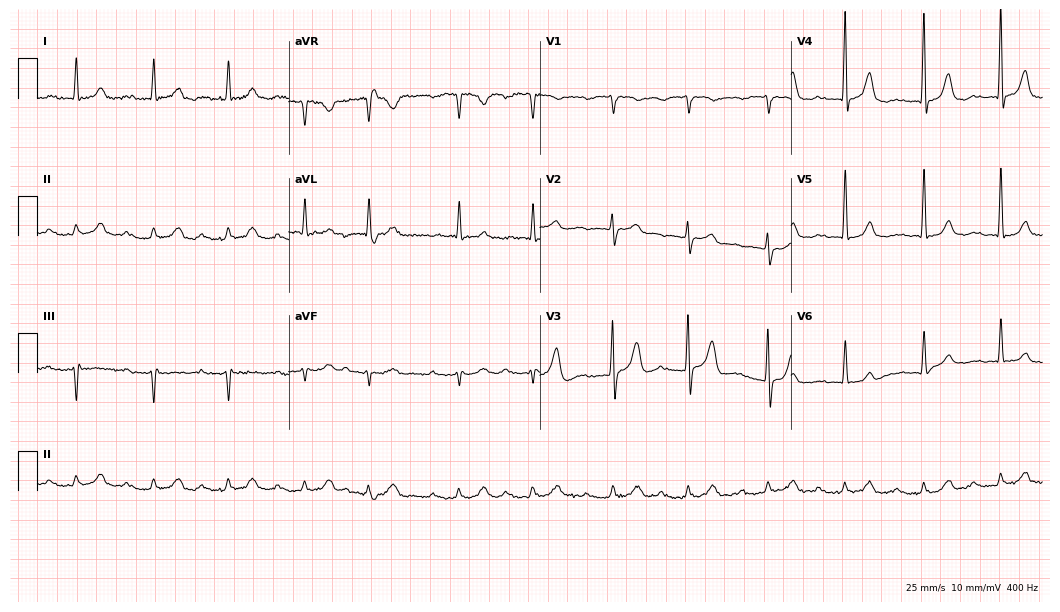
Resting 12-lead electrocardiogram (10.2-second recording at 400 Hz). Patient: a man, 84 years old. Read as a normal ECG.